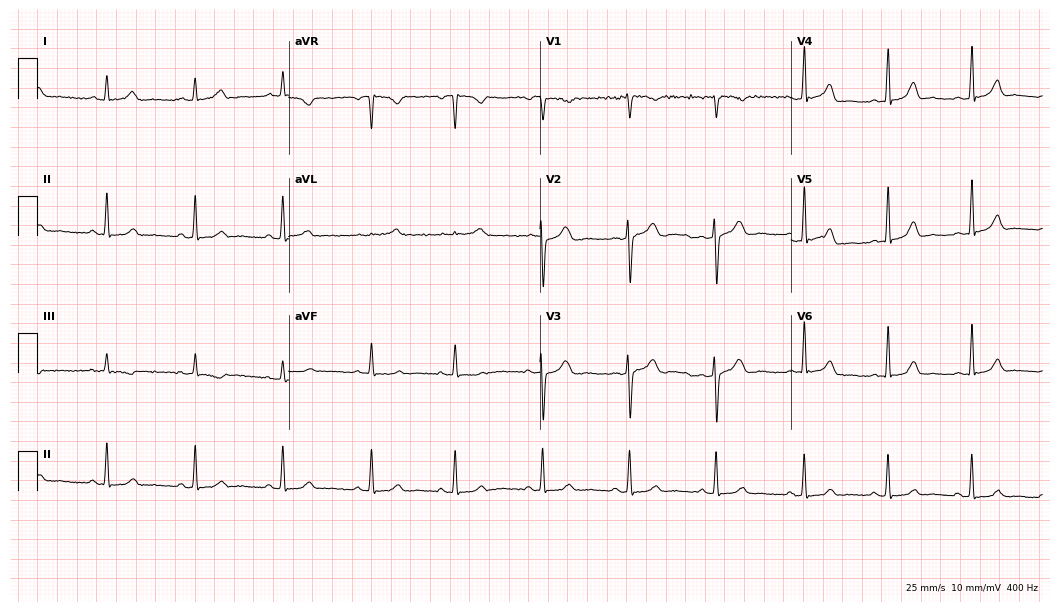
12-lead ECG from a woman, 33 years old. Recorded interpretation: within normal limits.